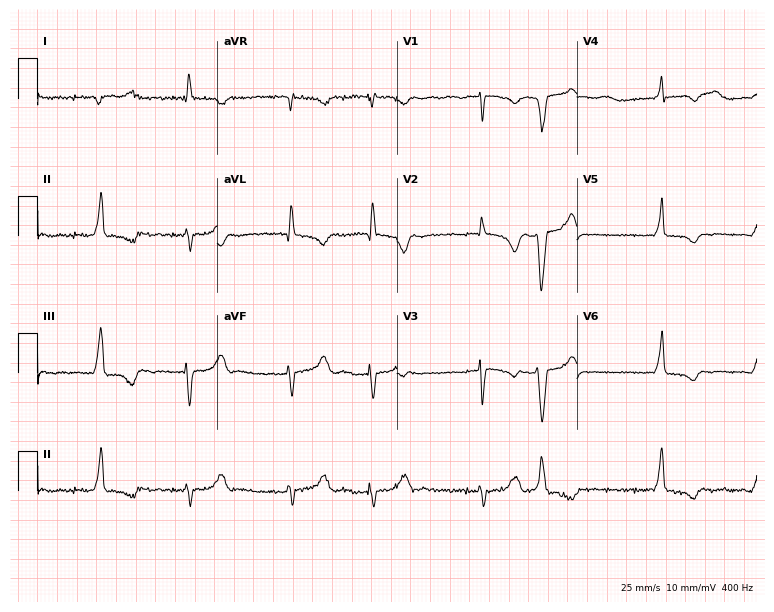
ECG — a female, 80 years old. Labelled as a normal ECG.